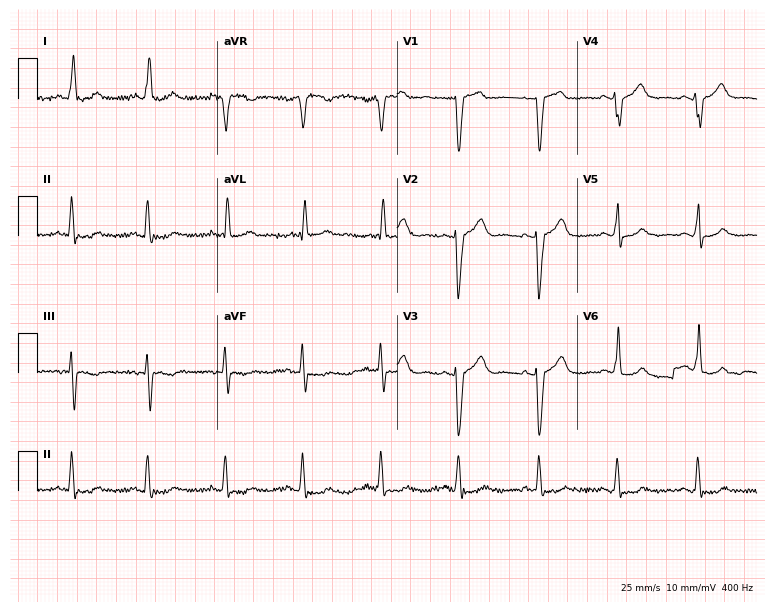
Standard 12-lead ECG recorded from a female patient, 68 years old. None of these six findings is recorded: first-degree AV block, right bundle branch block (RBBB), left bundle branch block (LBBB), sinus bradycardia, atrial fibrillation (AF), sinus tachycardia.